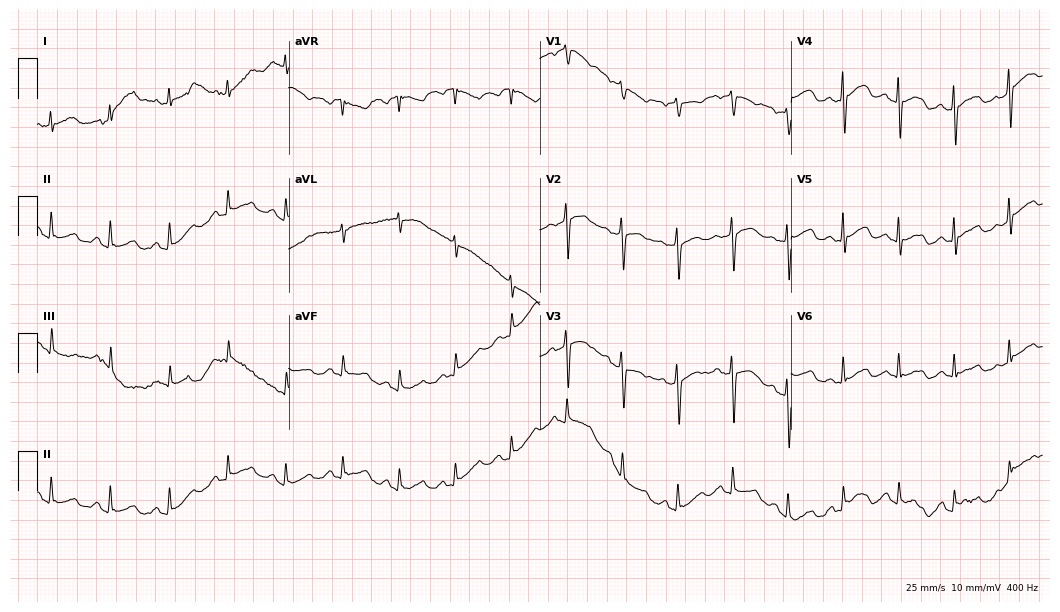
Electrocardiogram, a woman, 51 years old. Of the six screened findings (first-degree AV block, right bundle branch block (RBBB), left bundle branch block (LBBB), sinus bradycardia, atrial fibrillation (AF), sinus tachycardia), none is recorded. Only these six findings were labelled.